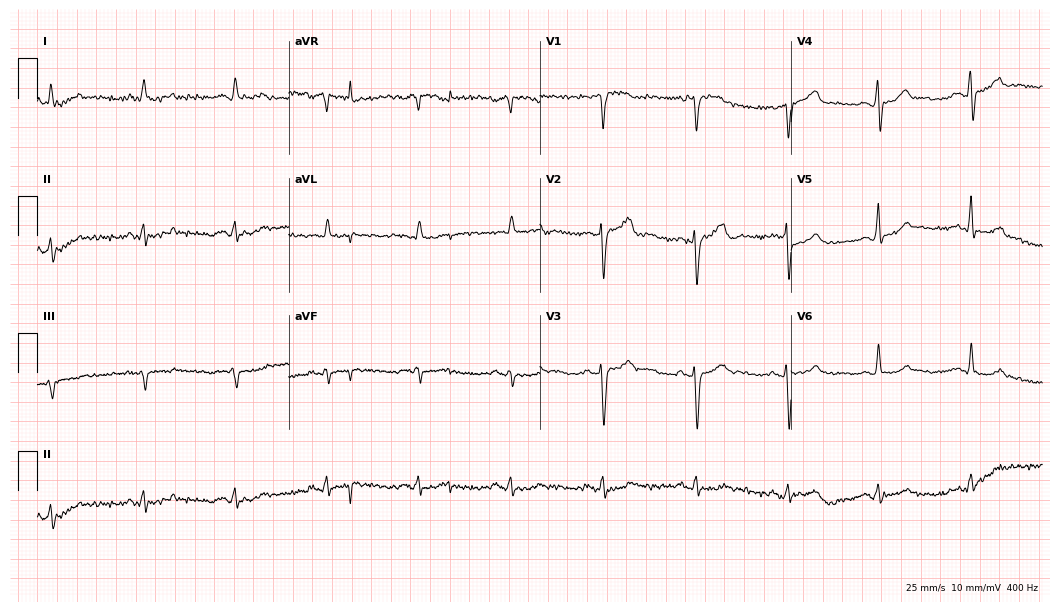
ECG — a male patient, 79 years old. Labelled as a normal ECG.